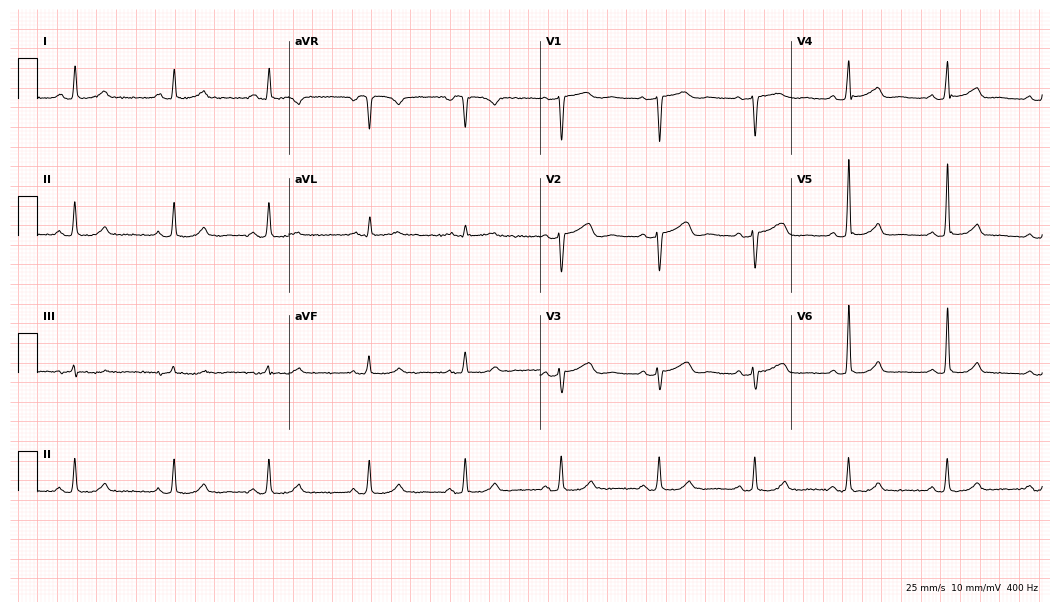
ECG — a female patient, 61 years old. Labelled as a normal ECG.